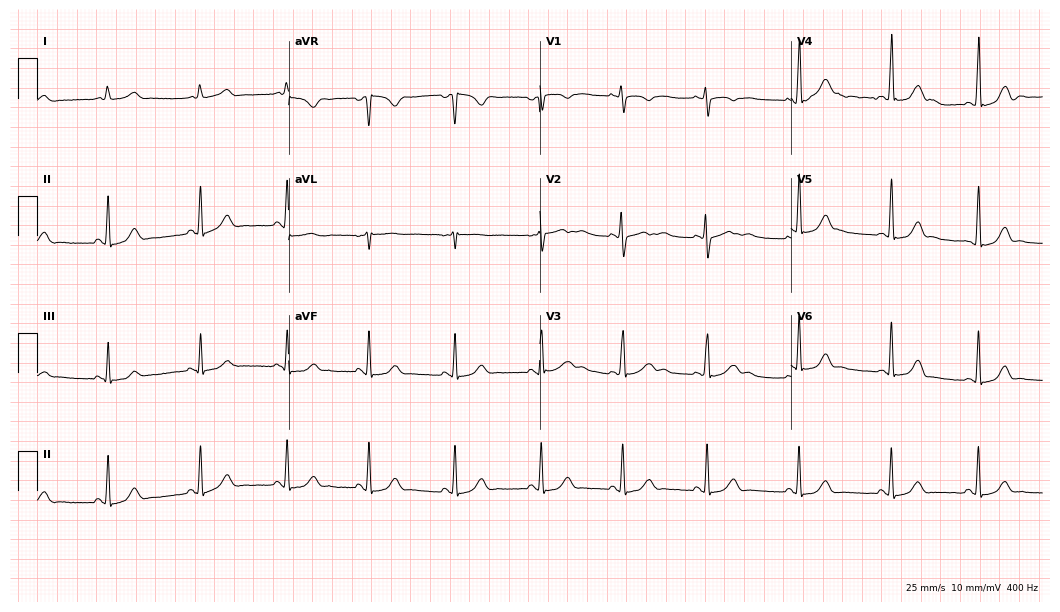
12-lead ECG (10.2-second recording at 400 Hz) from an 18-year-old woman. Labelled as a normal ECG.